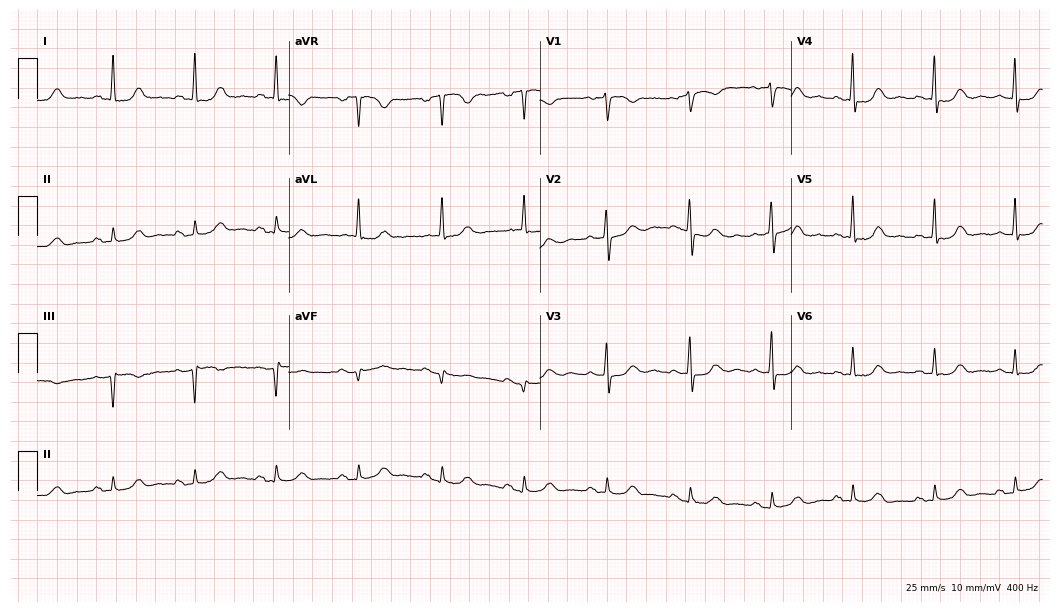
12-lead ECG from a woman, 73 years old. No first-degree AV block, right bundle branch block, left bundle branch block, sinus bradycardia, atrial fibrillation or sinus tachycardia recorded for this tracing. Only these six findings were labelled.